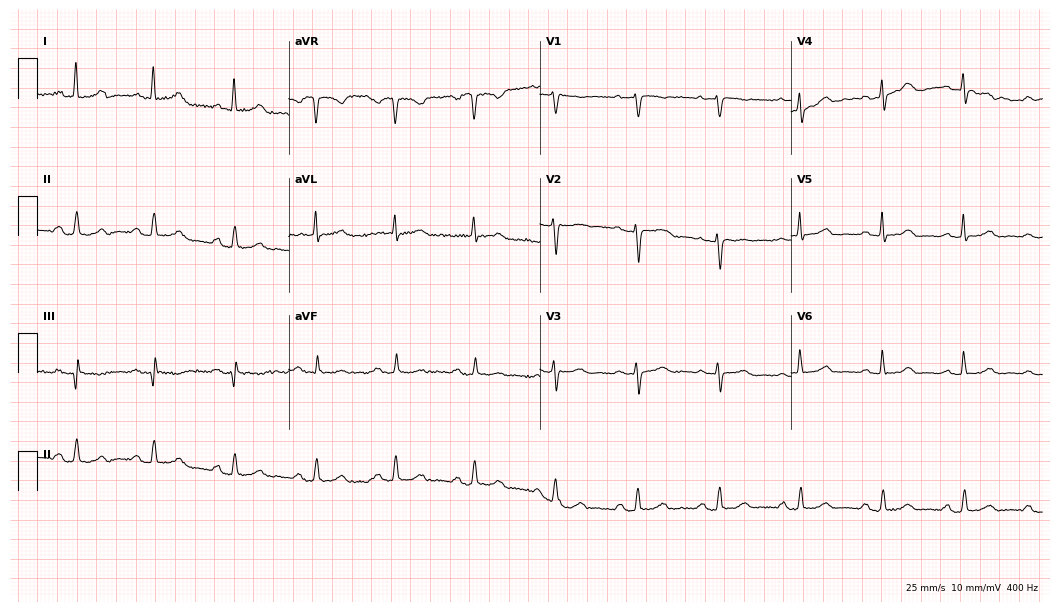
Resting 12-lead electrocardiogram (10.2-second recording at 400 Hz). Patient: a female, 68 years old. Read as a normal ECG.